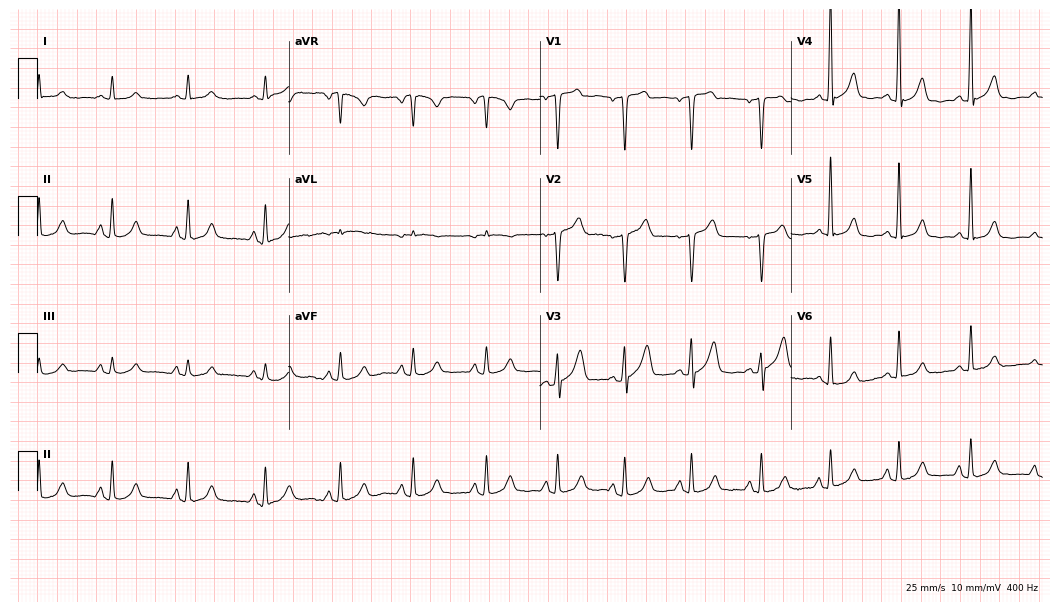
Resting 12-lead electrocardiogram. Patient: a male, 56 years old. Read as a normal ECG.